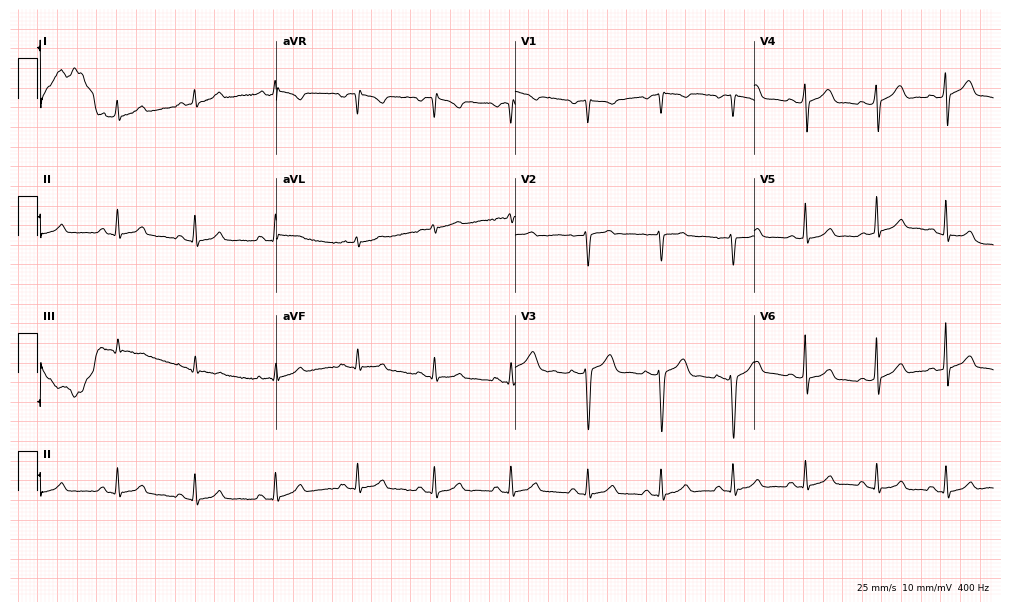
Standard 12-lead ECG recorded from a female patient, 41 years old (9.7-second recording at 400 Hz). None of these six findings is recorded: first-degree AV block, right bundle branch block (RBBB), left bundle branch block (LBBB), sinus bradycardia, atrial fibrillation (AF), sinus tachycardia.